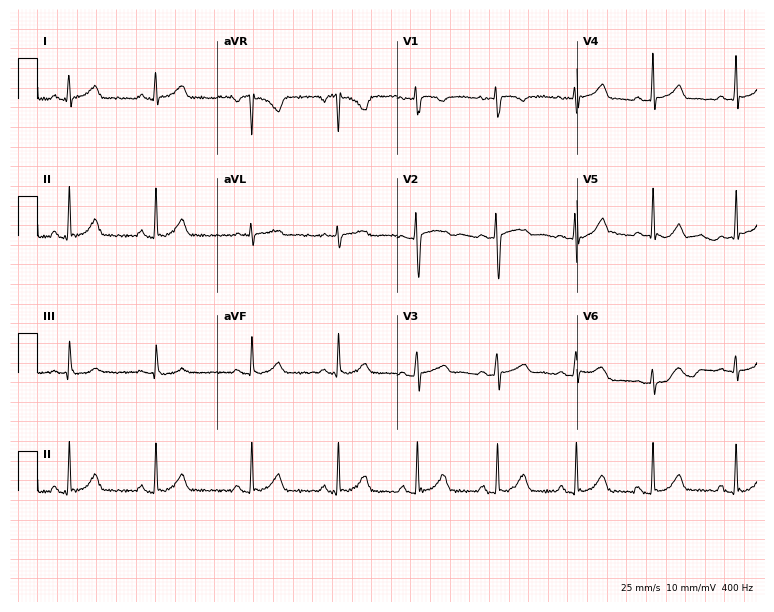
Electrocardiogram (7.3-second recording at 400 Hz), a female, 19 years old. Overall reading on record: normal ECG.